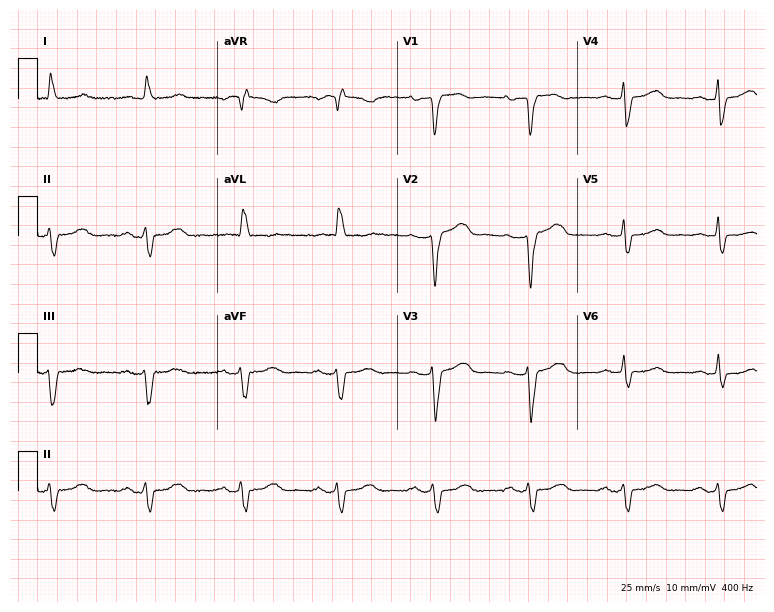
12-lead ECG from a woman, 80 years old. No first-degree AV block, right bundle branch block, left bundle branch block, sinus bradycardia, atrial fibrillation or sinus tachycardia recorded for this tracing.